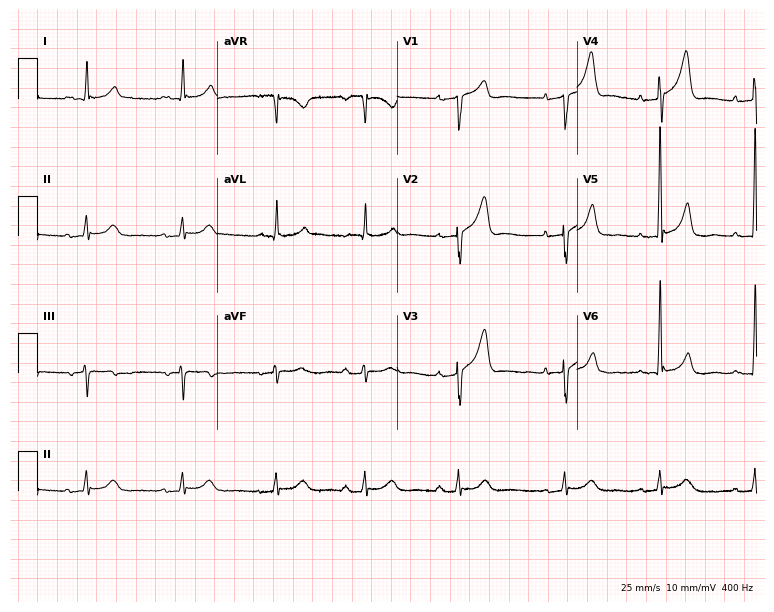
Electrocardiogram, a 77-year-old male. Of the six screened findings (first-degree AV block, right bundle branch block (RBBB), left bundle branch block (LBBB), sinus bradycardia, atrial fibrillation (AF), sinus tachycardia), none is recorded. Findings outside these six are not listed.